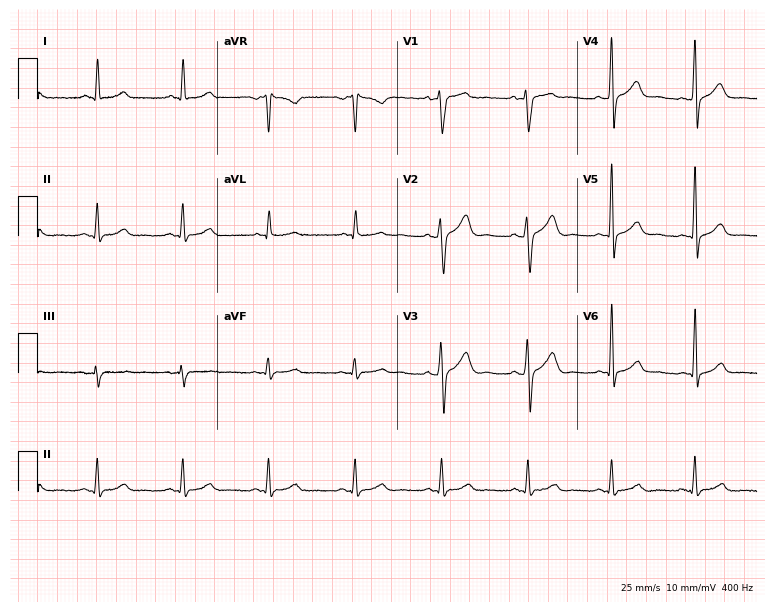
Resting 12-lead electrocardiogram (7.3-second recording at 400 Hz). Patient: a male, 31 years old. None of these six findings is recorded: first-degree AV block, right bundle branch block, left bundle branch block, sinus bradycardia, atrial fibrillation, sinus tachycardia.